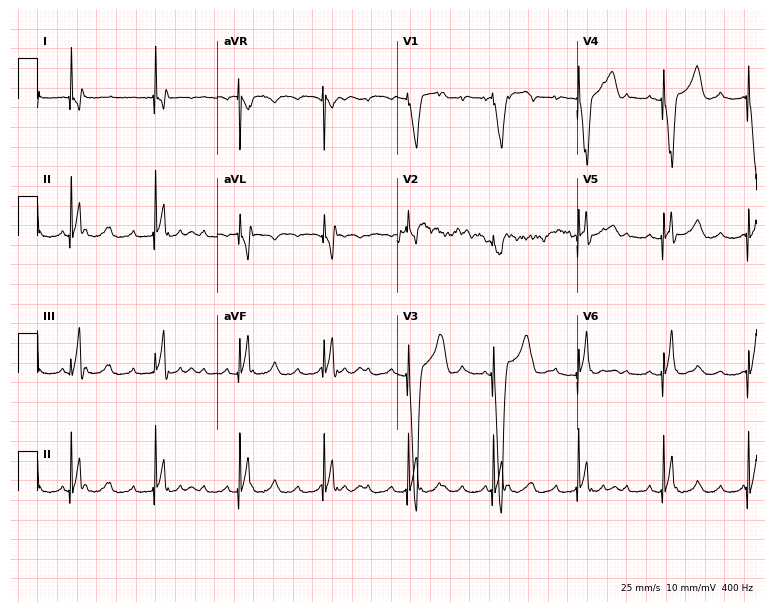
12-lead ECG from a male, 65 years old (7.3-second recording at 400 Hz). No first-degree AV block, right bundle branch block (RBBB), left bundle branch block (LBBB), sinus bradycardia, atrial fibrillation (AF) or sinus tachycardia recorded for this tracing. Findings outside these six are not listed.